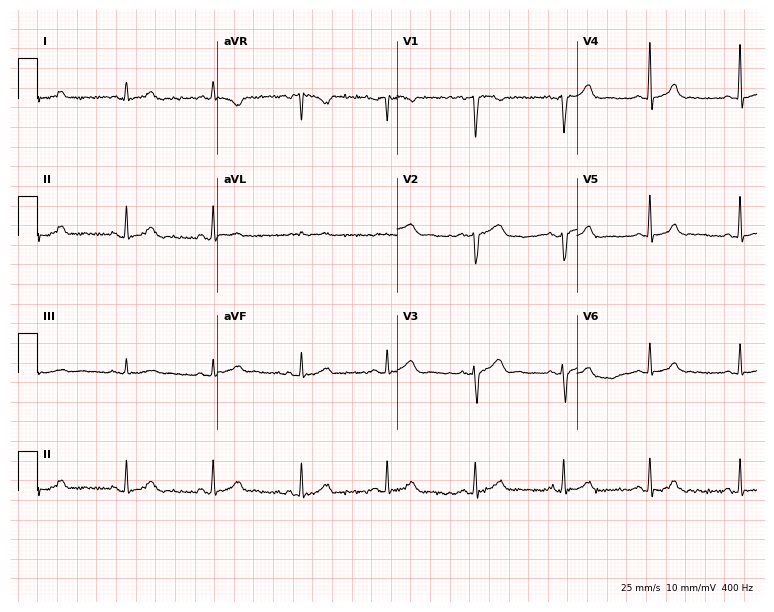
Standard 12-lead ECG recorded from a 37-year-old female patient (7.3-second recording at 400 Hz). Read as a normal ECG.